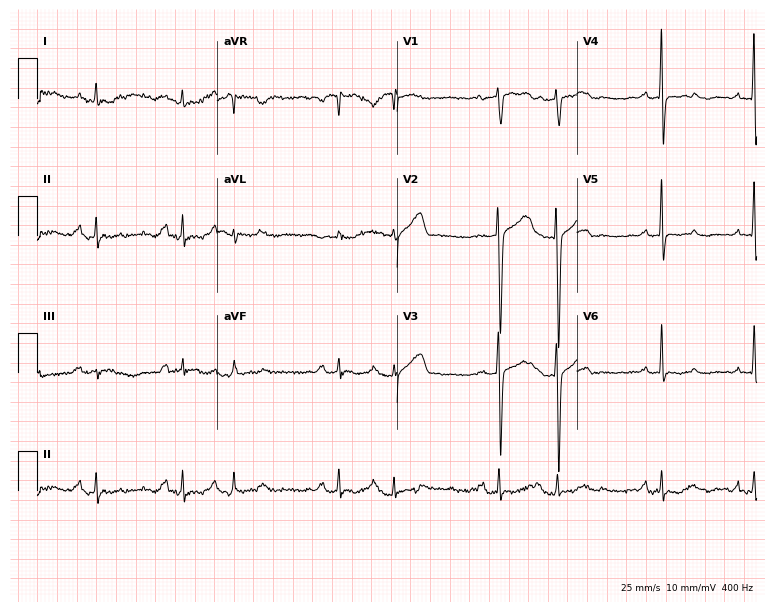
12-lead ECG from a 78-year-old female patient. Screened for six findings — first-degree AV block, right bundle branch block (RBBB), left bundle branch block (LBBB), sinus bradycardia, atrial fibrillation (AF), sinus tachycardia — none is recorded. Other findings, if any, are not listed.